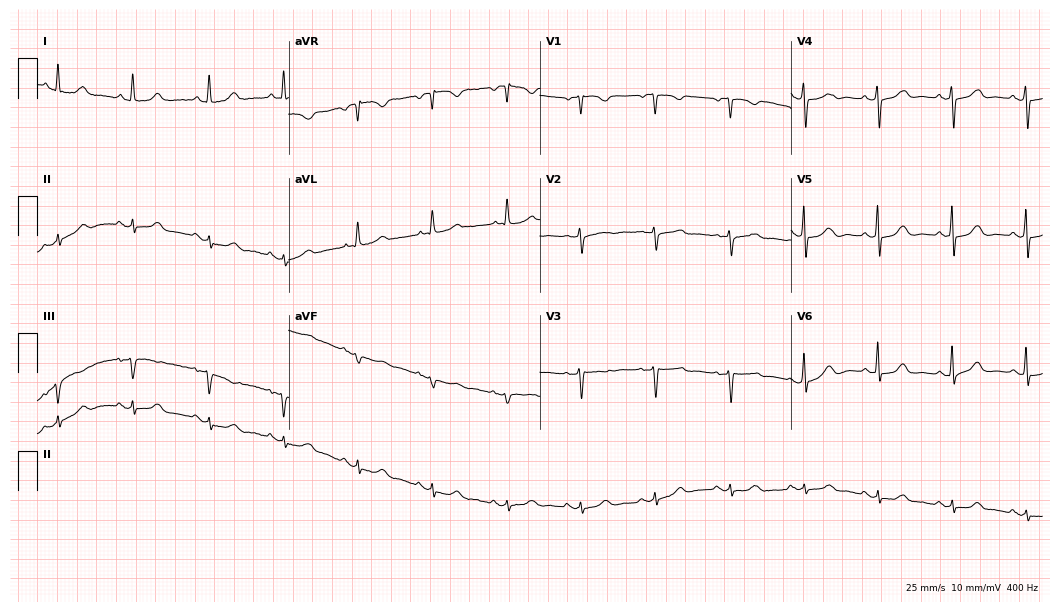
12-lead ECG (10.2-second recording at 400 Hz) from a woman, 78 years old. Labelled as a normal ECG.